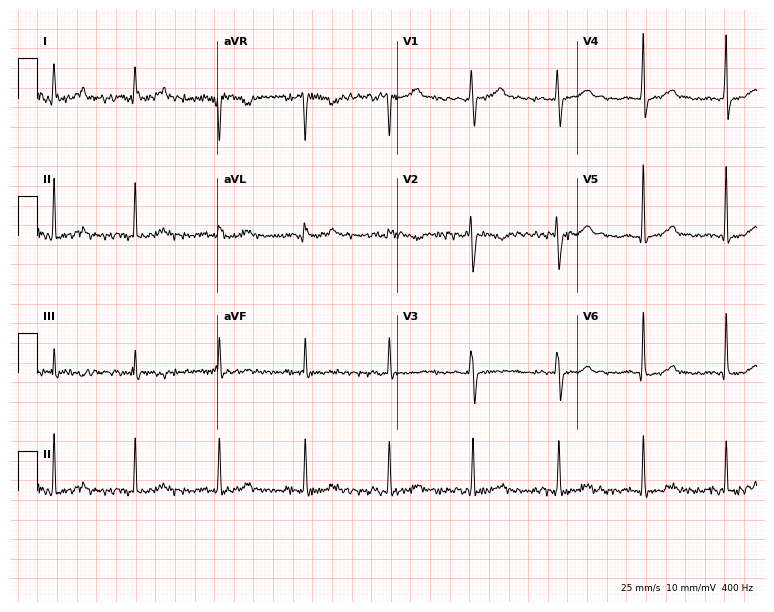
ECG — a female, 37 years old. Labelled as a normal ECG.